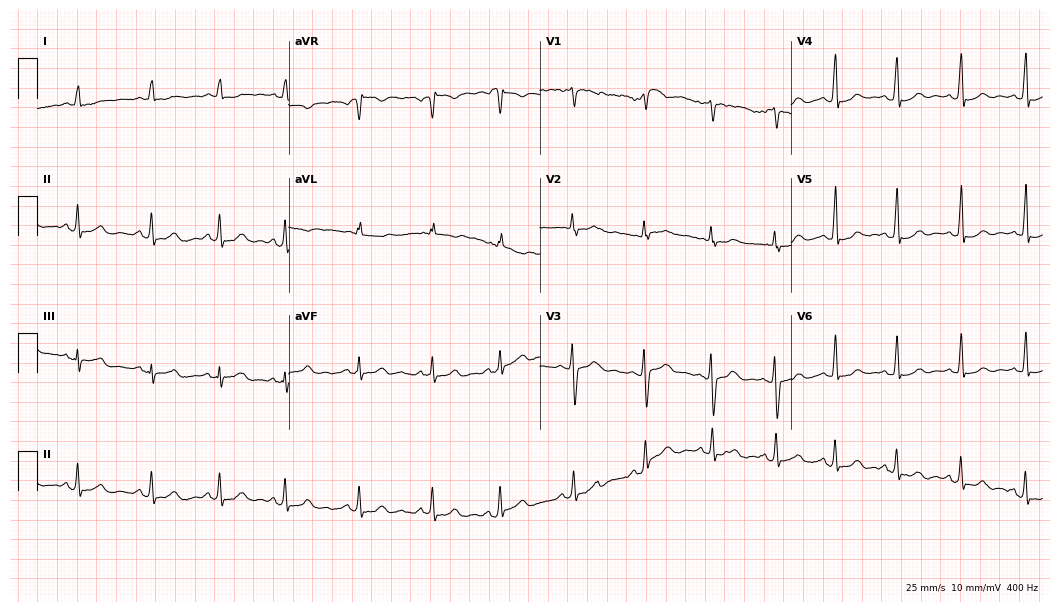
Electrocardiogram, a 23-year-old female patient. Of the six screened findings (first-degree AV block, right bundle branch block, left bundle branch block, sinus bradycardia, atrial fibrillation, sinus tachycardia), none is recorded. Findings outside these six are not listed.